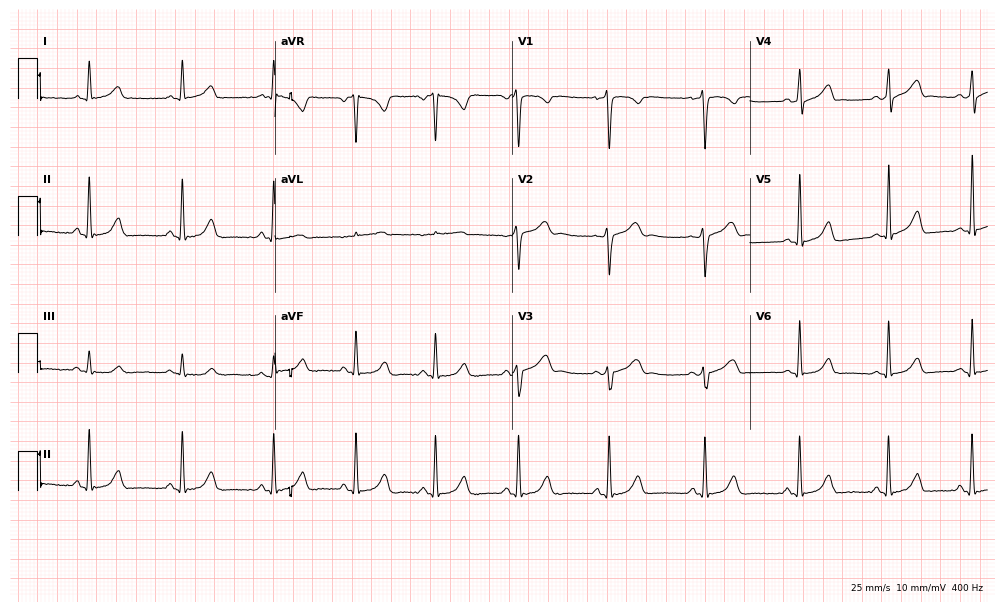
Electrocardiogram, a 33-year-old male. Overall reading on record: normal ECG.